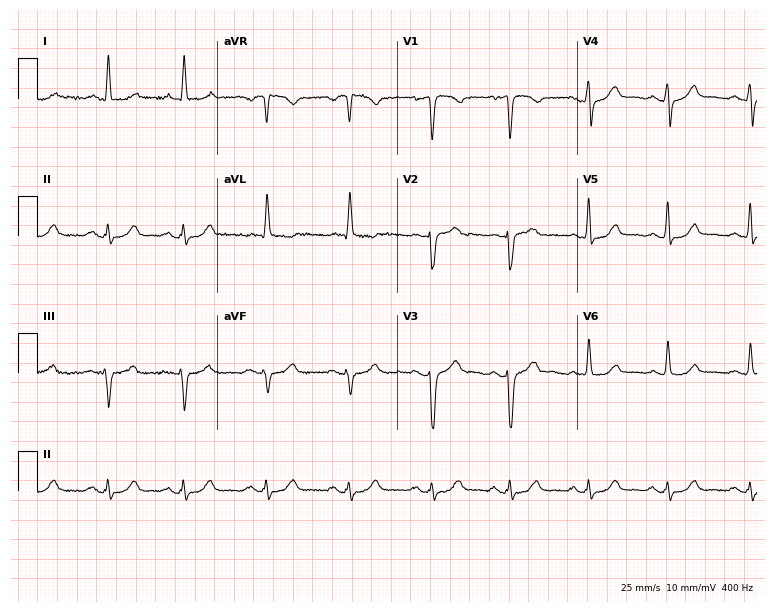
ECG (7.3-second recording at 400 Hz) — a 59-year-old female. Screened for six findings — first-degree AV block, right bundle branch block, left bundle branch block, sinus bradycardia, atrial fibrillation, sinus tachycardia — none is recorded.